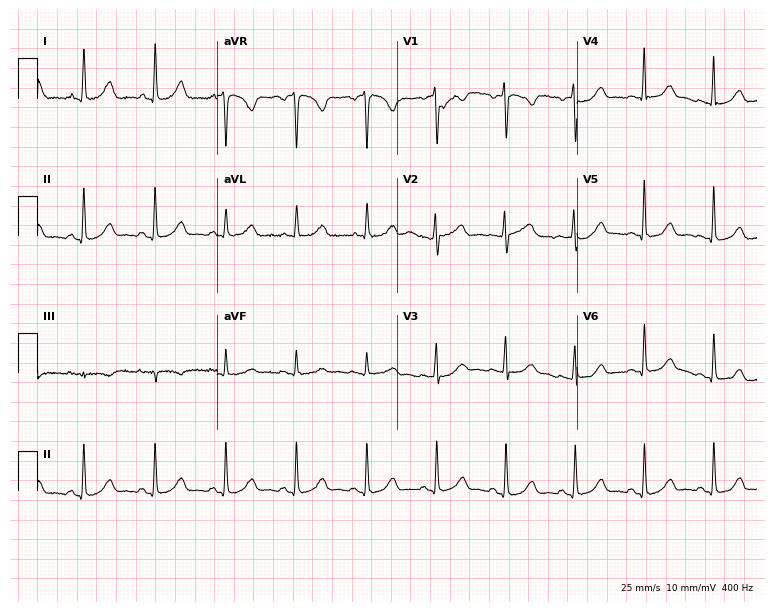
ECG — a 51-year-old female. Screened for six findings — first-degree AV block, right bundle branch block, left bundle branch block, sinus bradycardia, atrial fibrillation, sinus tachycardia — none is recorded.